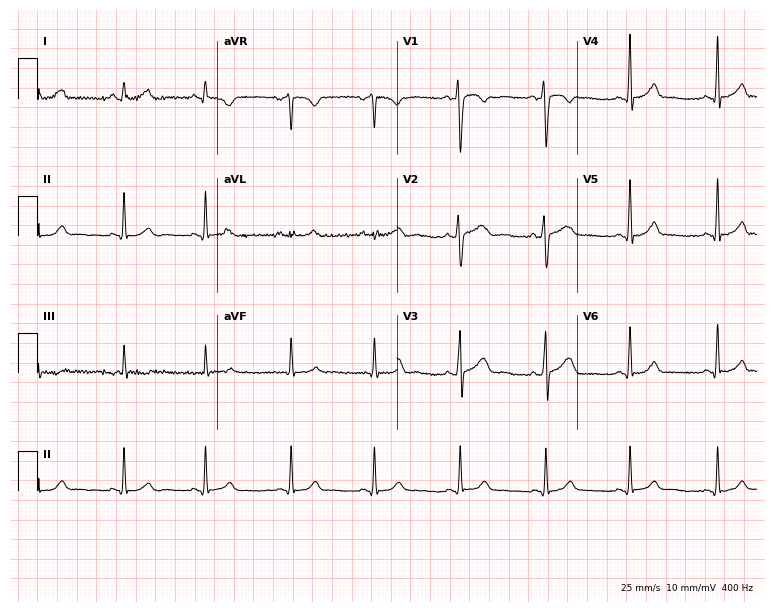
Electrocardiogram (7.3-second recording at 400 Hz), a 27-year-old female patient. Overall reading on record: normal ECG.